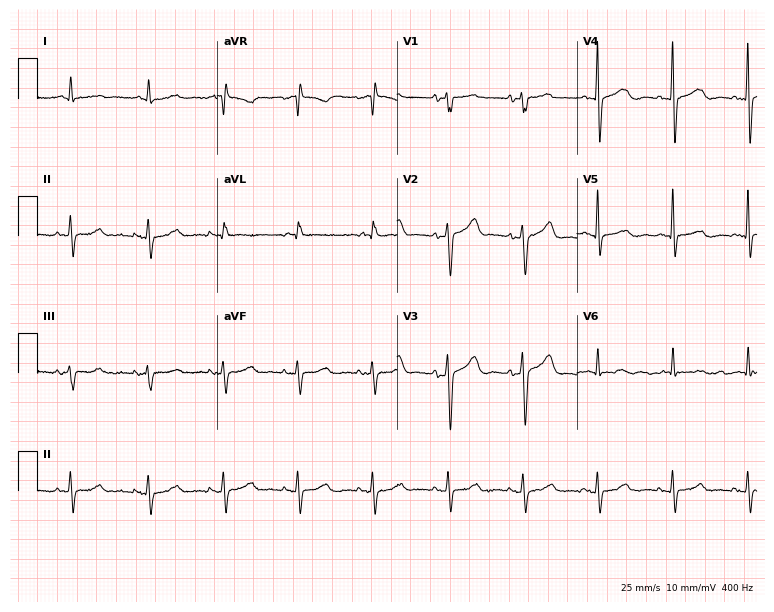
12-lead ECG from a female, 78 years old. Labelled as a normal ECG.